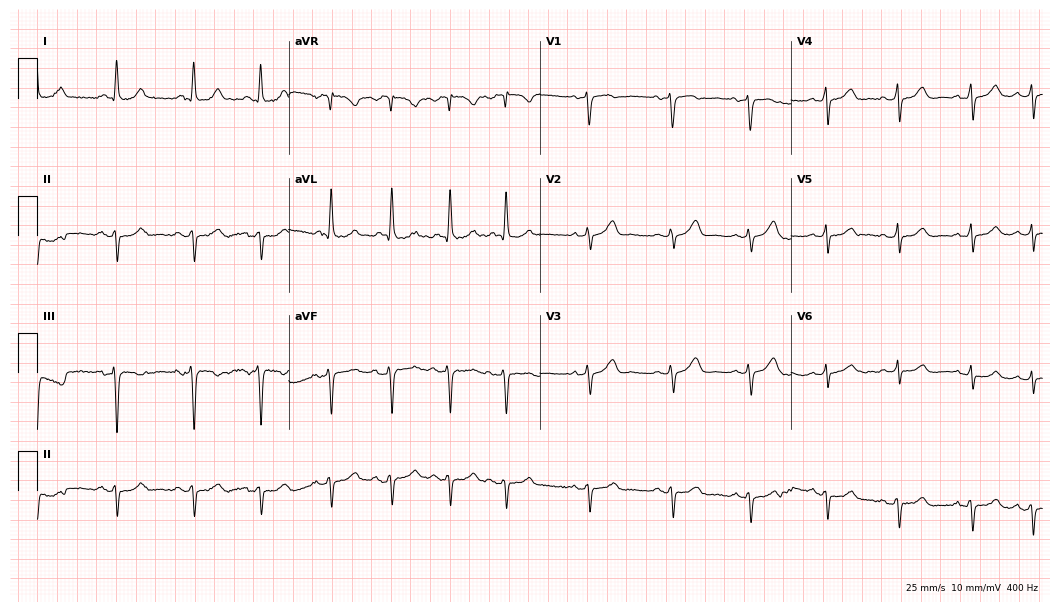
Resting 12-lead electrocardiogram. Patient: a female, 66 years old. None of these six findings is recorded: first-degree AV block, right bundle branch block, left bundle branch block, sinus bradycardia, atrial fibrillation, sinus tachycardia. Other findings, if any, are not listed.